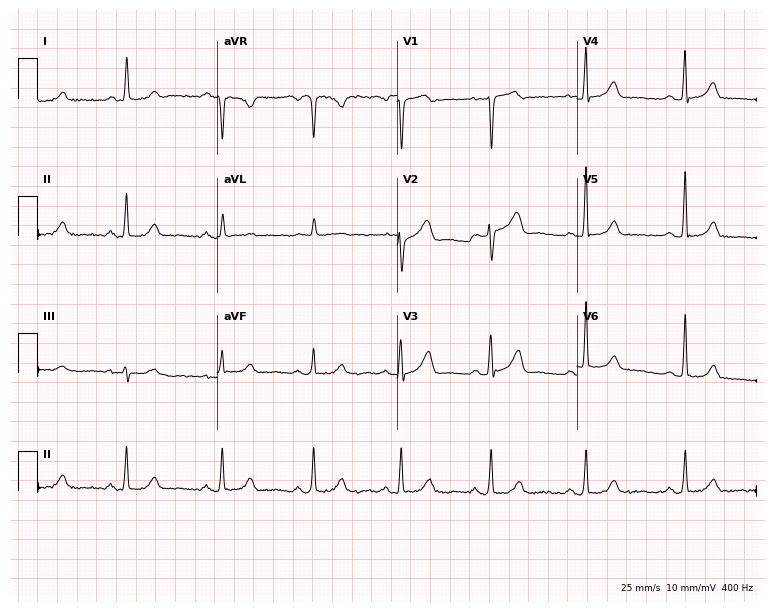
Resting 12-lead electrocardiogram. Patient: a 67-year-old female. None of these six findings is recorded: first-degree AV block, right bundle branch block (RBBB), left bundle branch block (LBBB), sinus bradycardia, atrial fibrillation (AF), sinus tachycardia.